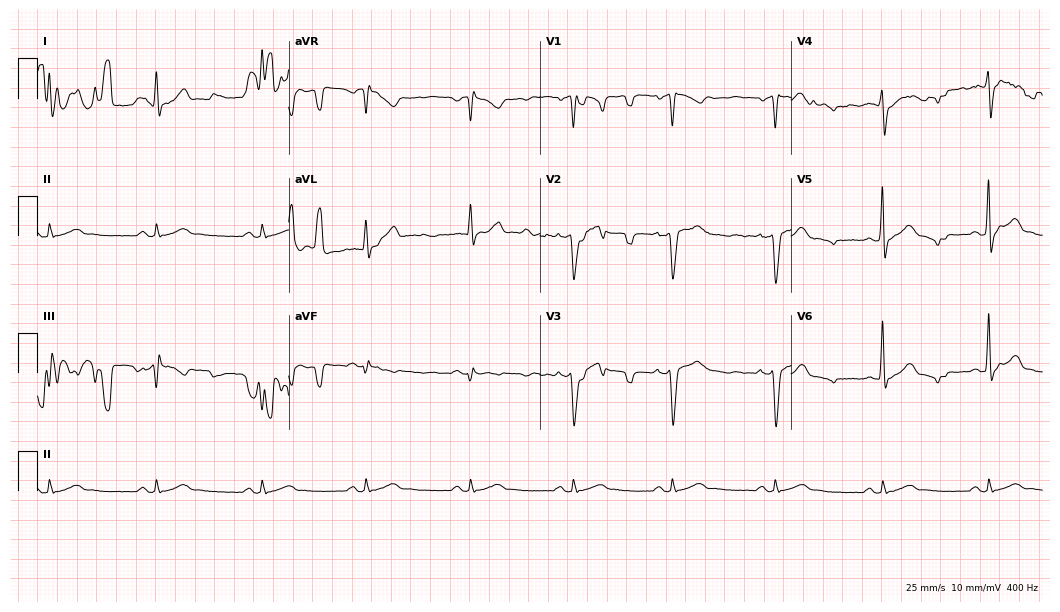
12-lead ECG from a man, 54 years old. No first-degree AV block, right bundle branch block (RBBB), left bundle branch block (LBBB), sinus bradycardia, atrial fibrillation (AF) or sinus tachycardia recorded for this tracing. Findings outside these six are not listed.